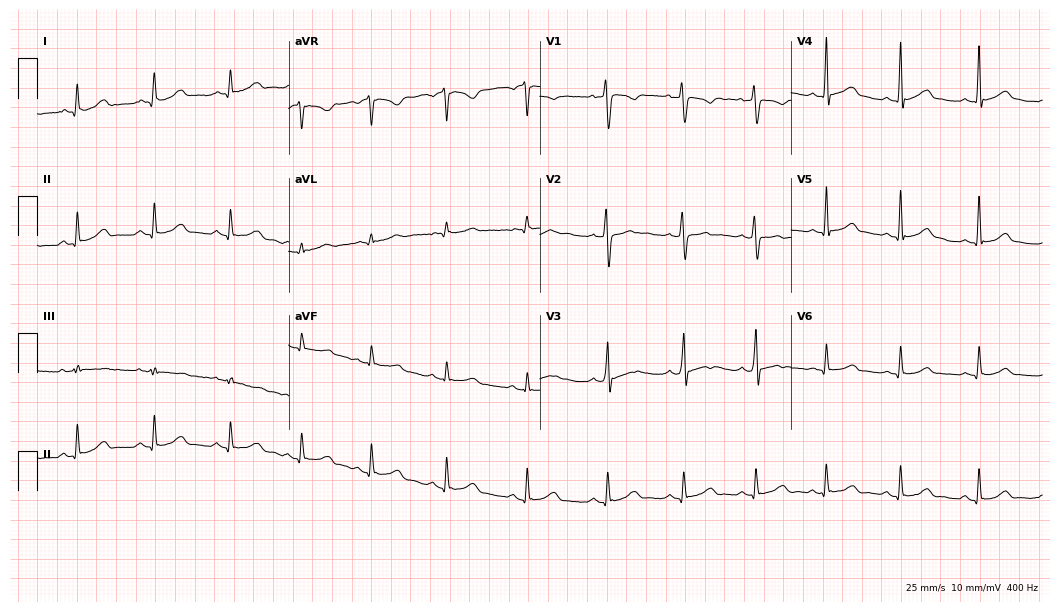
Electrocardiogram, a 23-year-old woman. Overall reading on record: normal ECG.